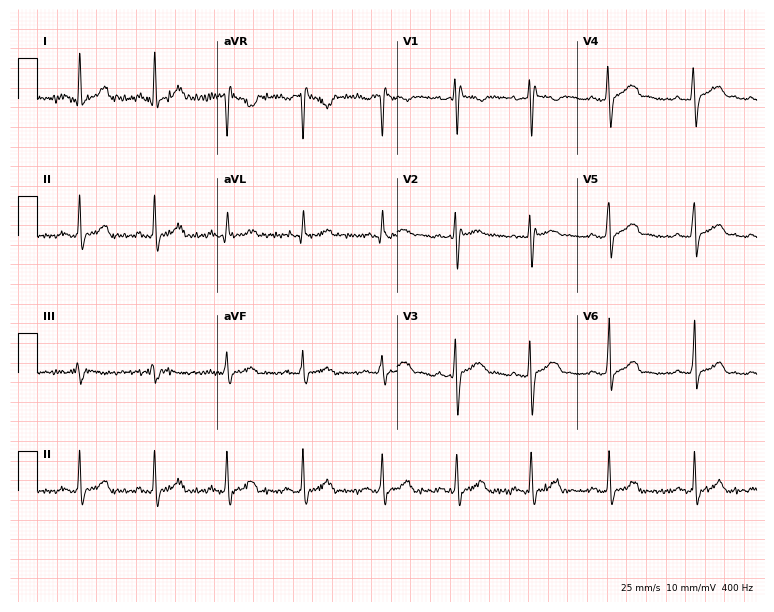
Electrocardiogram, a female, 26 years old. Of the six screened findings (first-degree AV block, right bundle branch block (RBBB), left bundle branch block (LBBB), sinus bradycardia, atrial fibrillation (AF), sinus tachycardia), none is recorded.